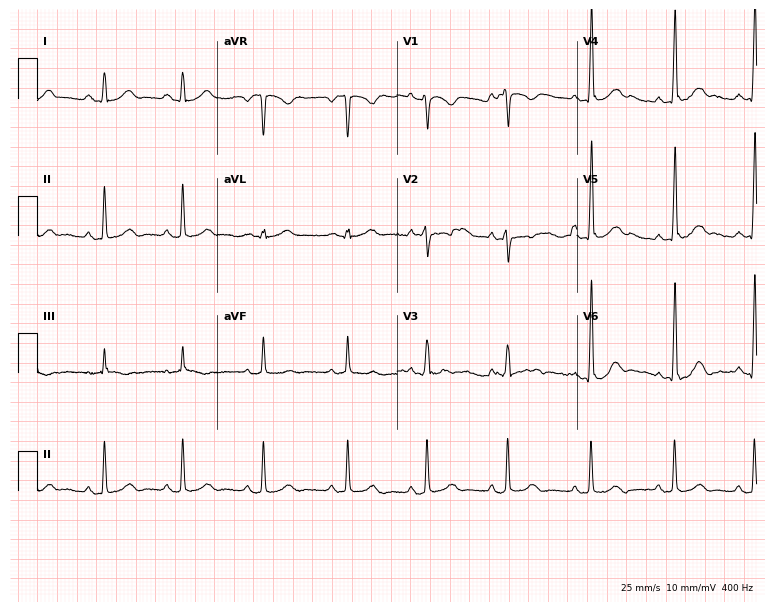
Standard 12-lead ECG recorded from a 23-year-old female (7.3-second recording at 400 Hz). Read as a normal ECG.